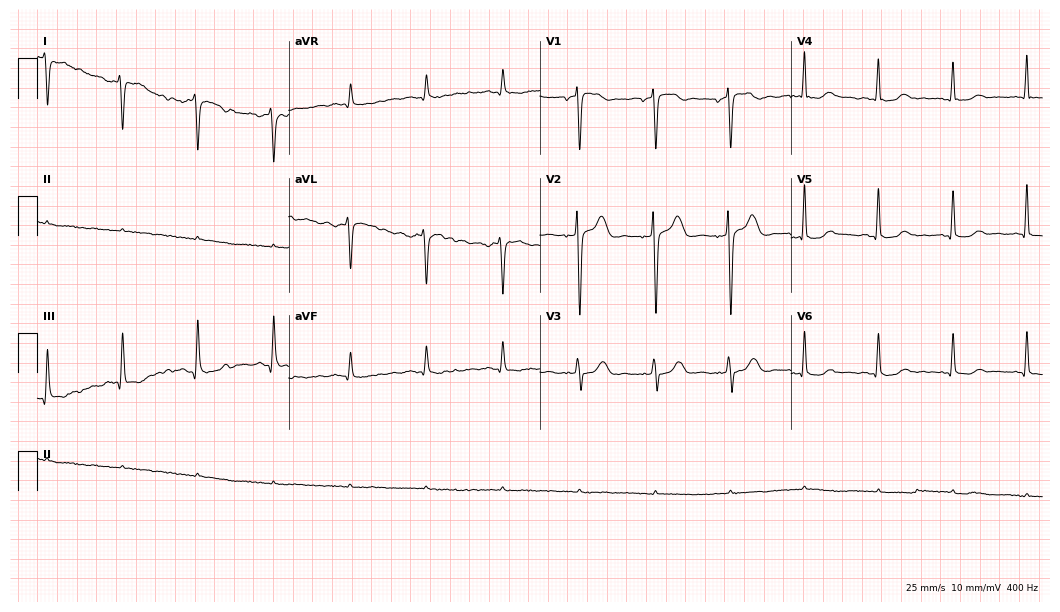
12-lead ECG from a female patient, 72 years old. No first-degree AV block, right bundle branch block, left bundle branch block, sinus bradycardia, atrial fibrillation or sinus tachycardia recorded for this tracing.